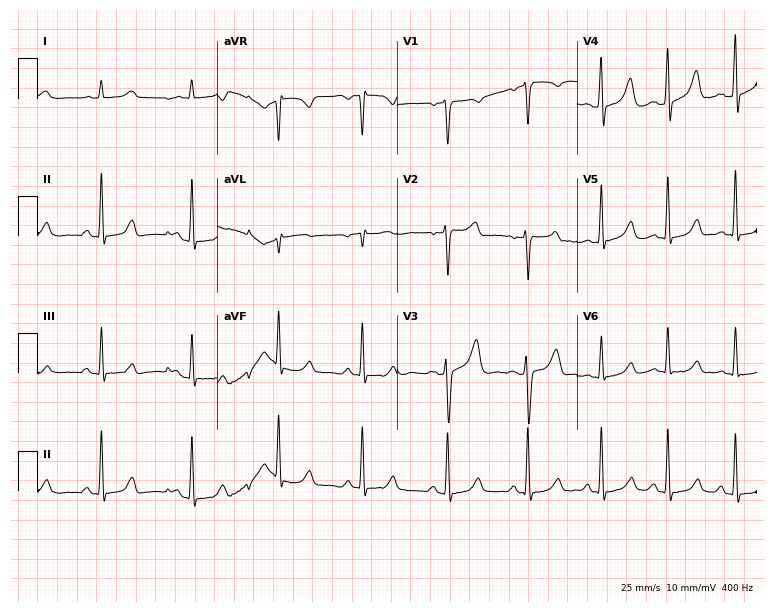
Electrocardiogram (7.3-second recording at 400 Hz), a 43-year-old male patient. Of the six screened findings (first-degree AV block, right bundle branch block, left bundle branch block, sinus bradycardia, atrial fibrillation, sinus tachycardia), none is recorded. Findings outside these six are not listed.